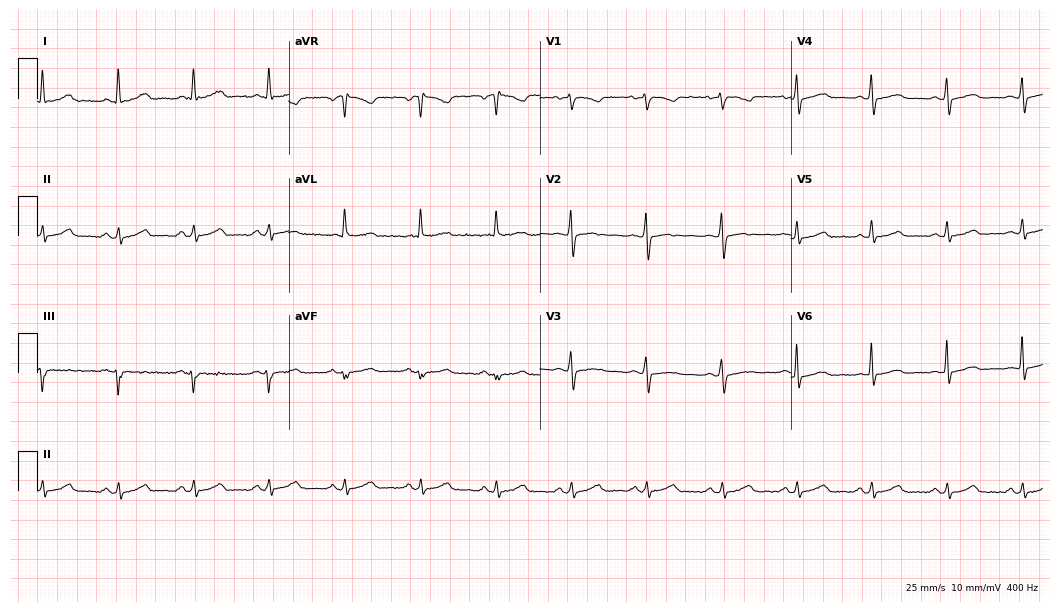
Electrocardiogram, a 52-year-old female. Overall reading on record: normal ECG.